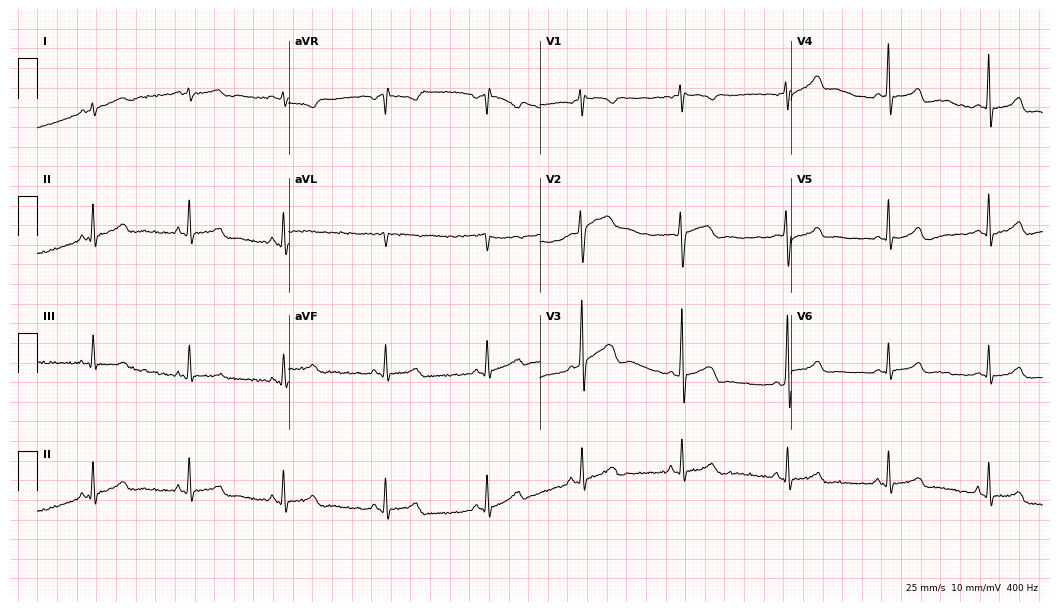
12-lead ECG from a male, 26 years old (10.2-second recording at 400 Hz). Recorded interpretation: within normal limits.